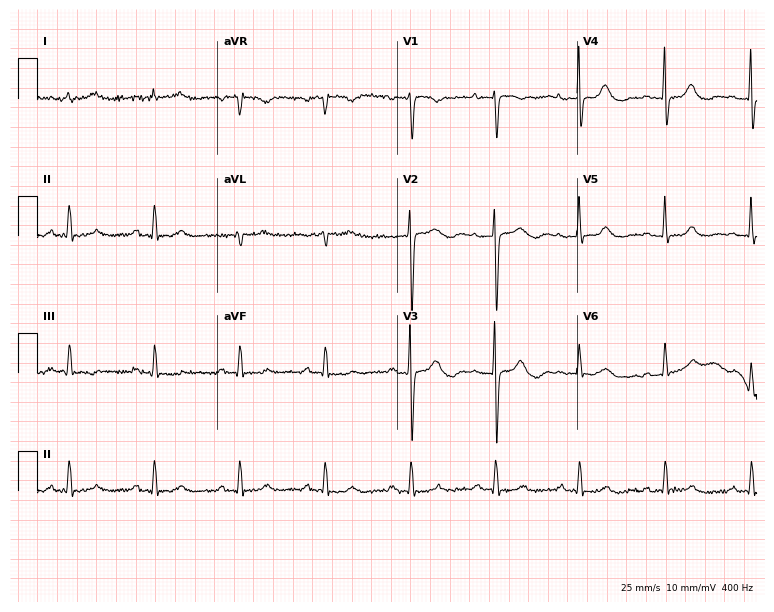
Resting 12-lead electrocardiogram. Patient: a woman, 82 years old. Read as a normal ECG.